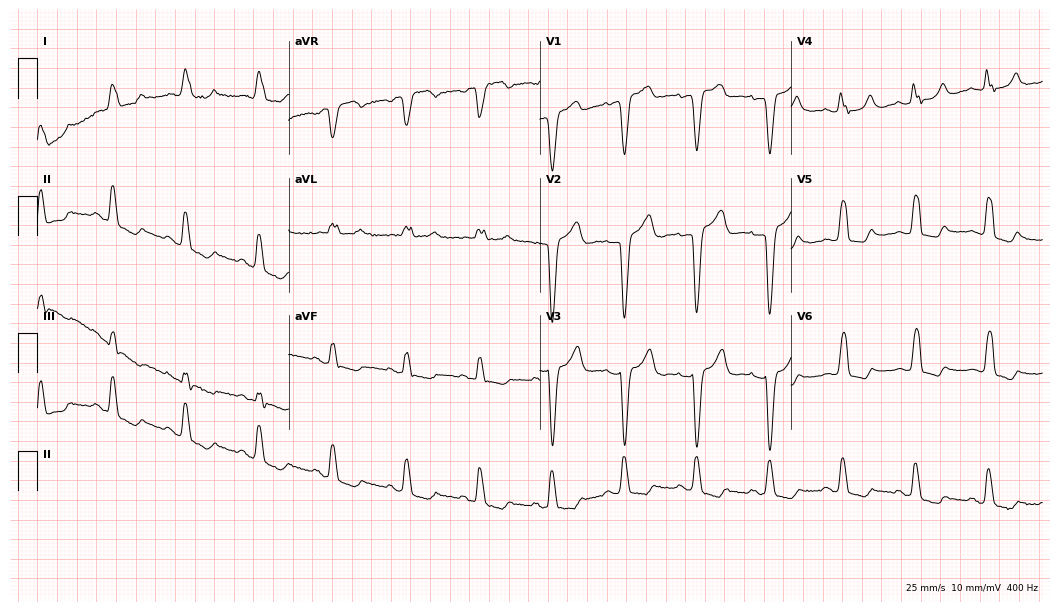
12-lead ECG from a female patient, 82 years old (10.2-second recording at 400 Hz). Shows left bundle branch block.